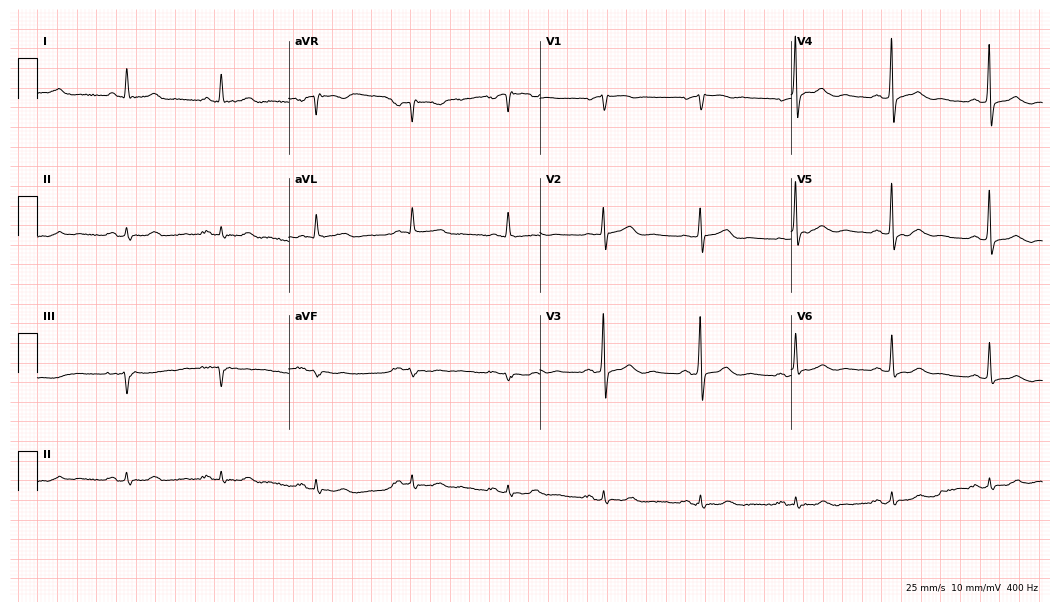
Standard 12-lead ECG recorded from a male, 77 years old (10.2-second recording at 400 Hz). Read as a normal ECG.